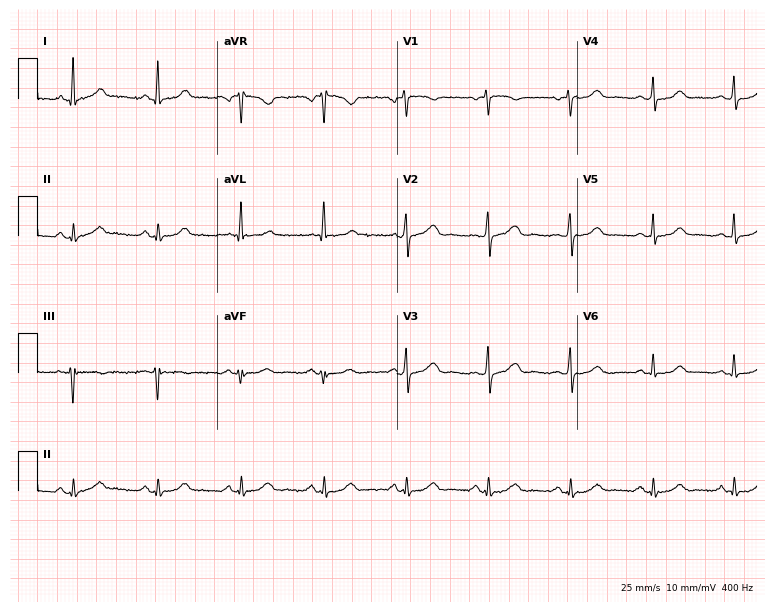
Resting 12-lead electrocardiogram (7.3-second recording at 400 Hz). Patient: a woman, 58 years old. Read as a normal ECG.